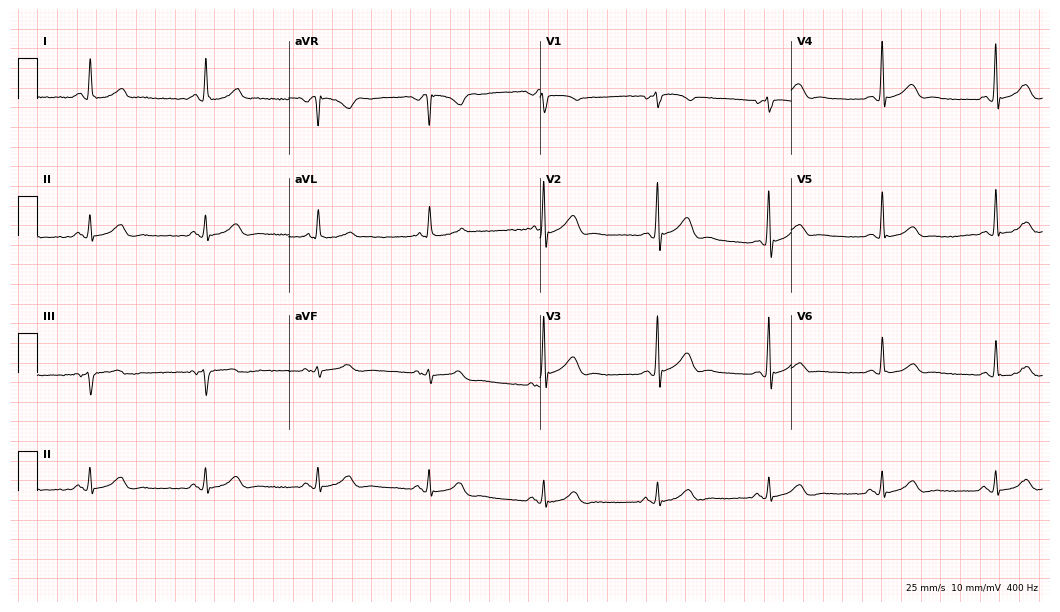
Electrocardiogram (10.2-second recording at 400 Hz), a 53-year-old female. Of the six screened findings (first-degree AV block, right bundle branch block, left bundle branch block, sinus bradycardia, atrial fibrillation, sinus tachycardia), none is recorded. Only these six findings were labelled.